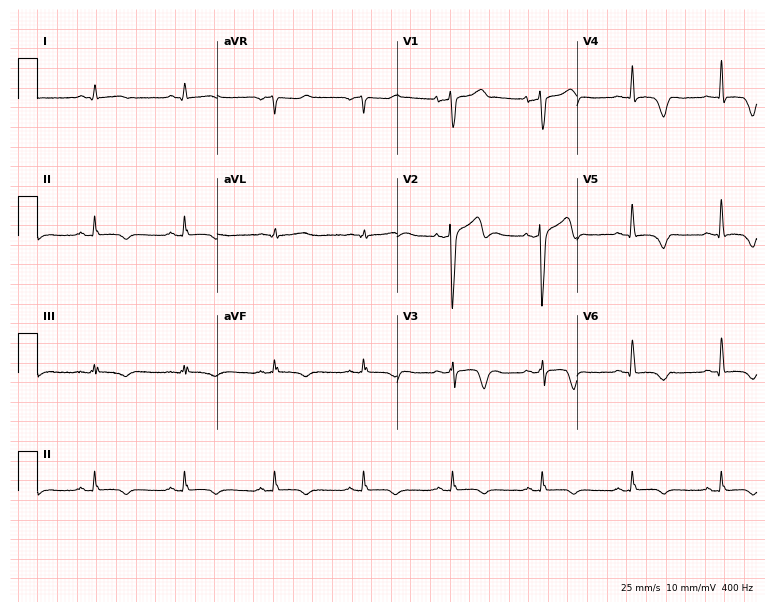
ECG — a man, 50 years old. Screened for six findings — first-degree AV block, right bundle branch block (RBBB), left bundle branch block (LBBB), sinus bradycardia, atrial fibrillation (AF), sinus tachycardia — none is recorded.